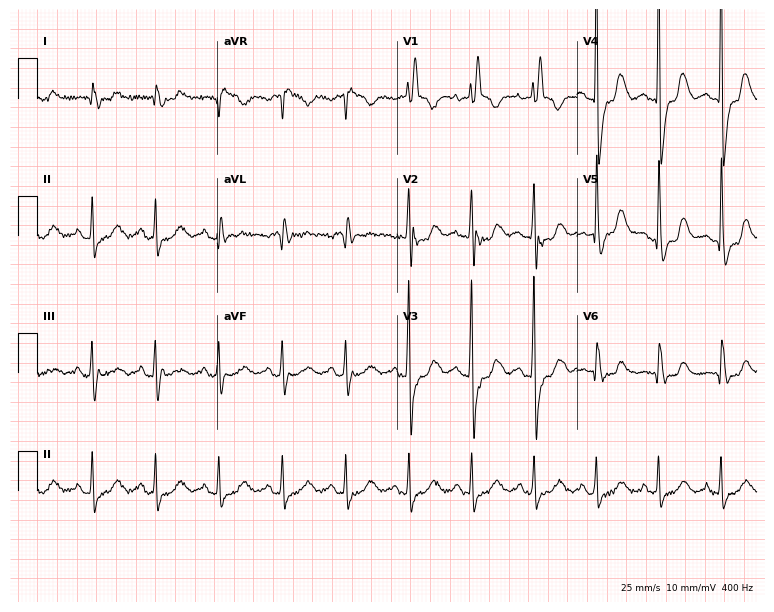
Standard 12-lead ECG recorded from a female patient, 72 years old (7.3-second recording at 400 Hz). The tracing shows right bundle branch block (RBBB).